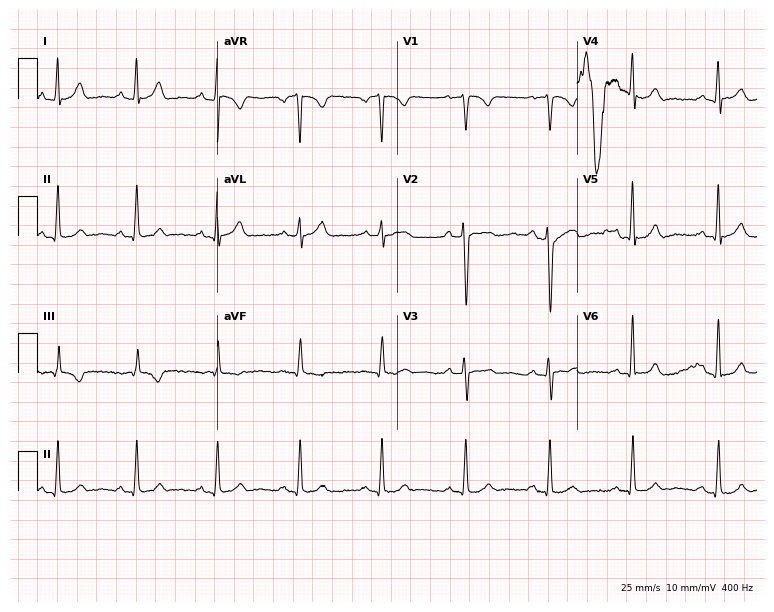
12-lead ECG from a male, 52 years old. Labelled as a normal ECG.